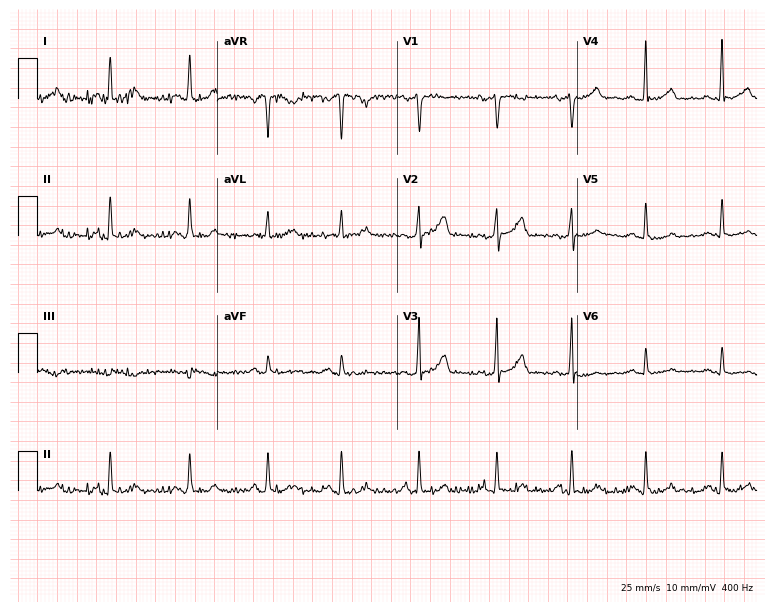
Resting 12-lead electrocardiogram (7.3-second recording at 400 Hz). Patient: a female, 40 years old. None of these six findings is recorded: first-degree AV block, right bundle branch block, left bundle branch block, sinus bradycardia, atrial fibrillation, sinus tachycardia.